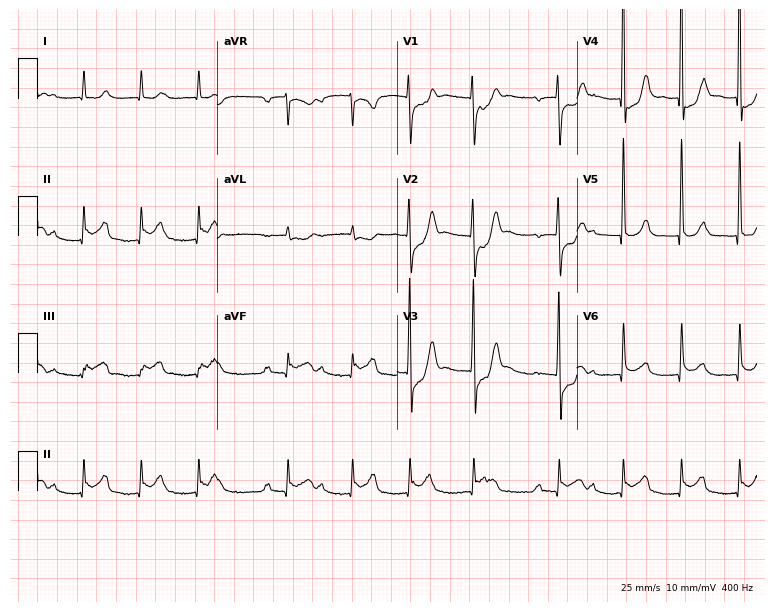
ECG (7.3-second recording at 400 Hz) — an 80-year-old man. Screened for six findings — first-degree AV block, right bundle branch block (RBBB), left bundle branch block (LBBB), sinus bradycardia, atrial fibrillation (AF), sinus tachycardia — none is recorded.